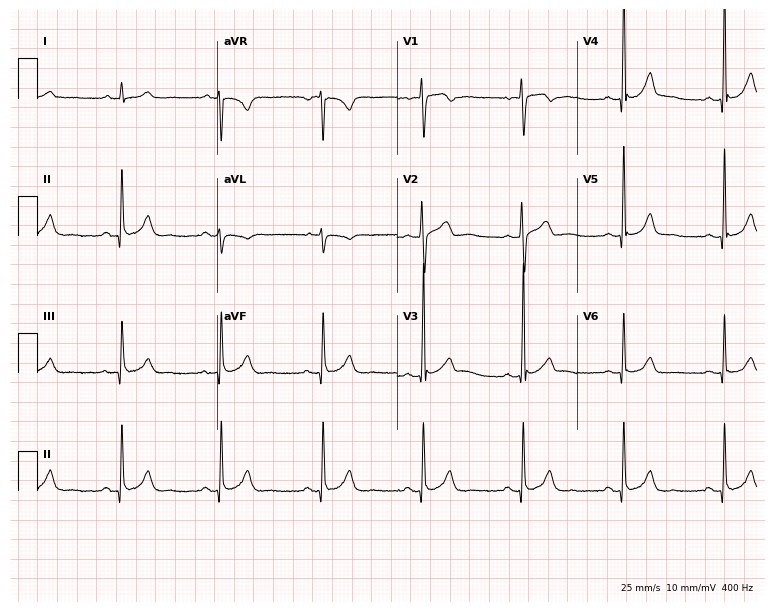
Resting 12-lead electrocardiogram. Patient: an 18-year-old male. Read as a normal ECG.